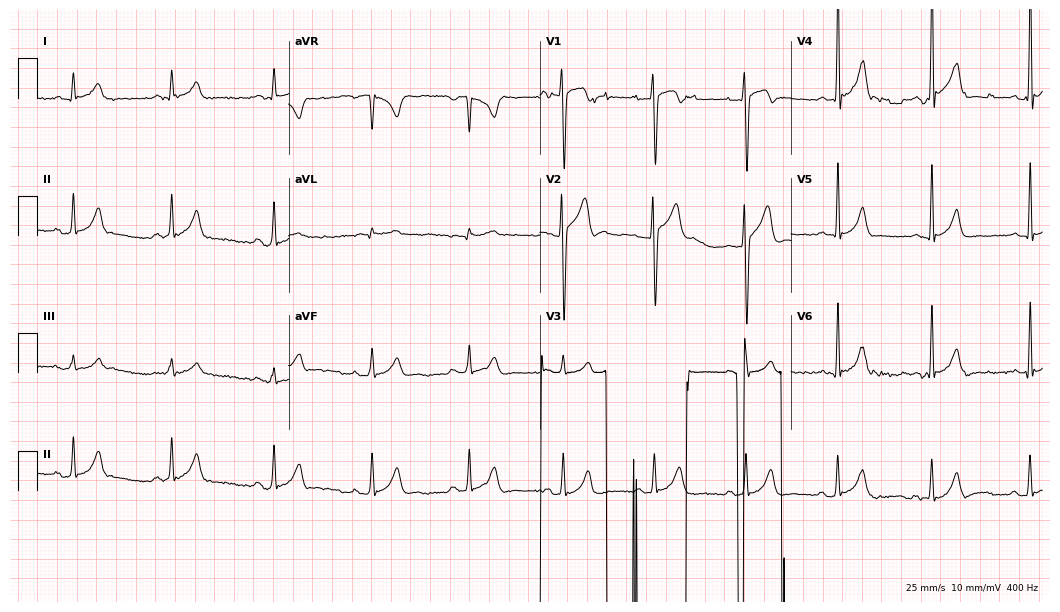
ECG — a 23-year-old male. Screened for six findings — first-degree AV block, right bundle branch block (RBBB), left bundle branch block (LBBB), sinus bradycardia, atrial fibrillation (AF), sinus tachycardia — none is recorded. Only these six findings were labelled.